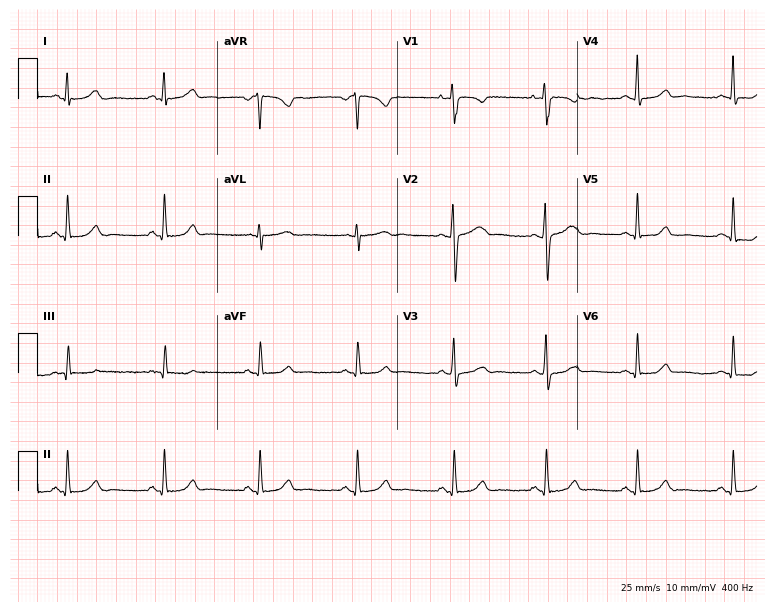
12-lead ECG from a 26-year-old female. Screened for six findings — first-degree AV block, right bundle branch block, left bundle branch block, sinus bradycardia, atrial fibrillation, sinus tachycardia — none is recorded. Other findings, if any, are not listed.